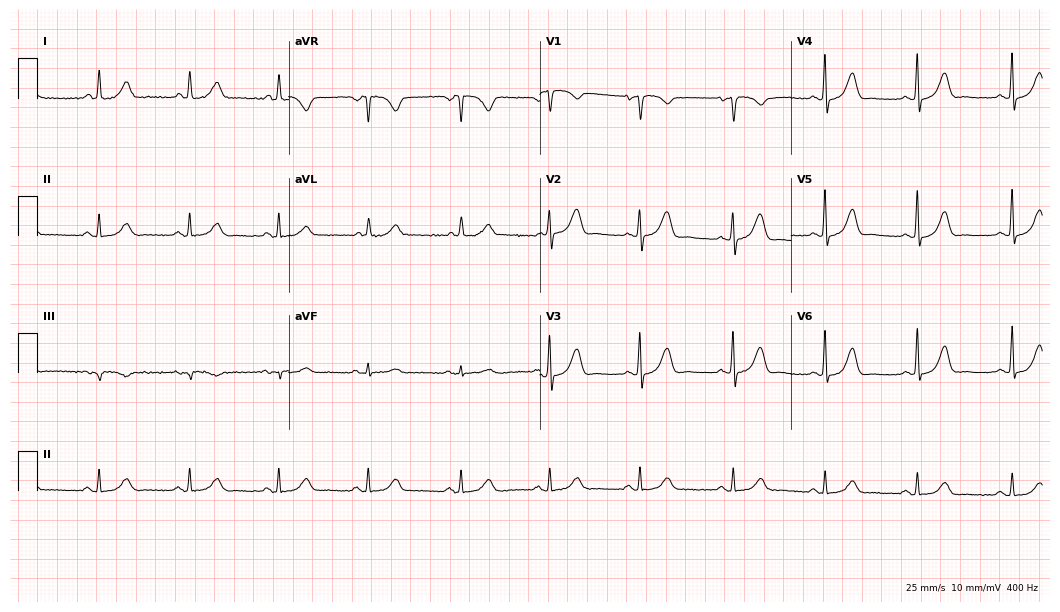
12-lead ECG (10.2-second recording at 400 Hz) from a 60-year-old woman. Labelled as a normal ECG.